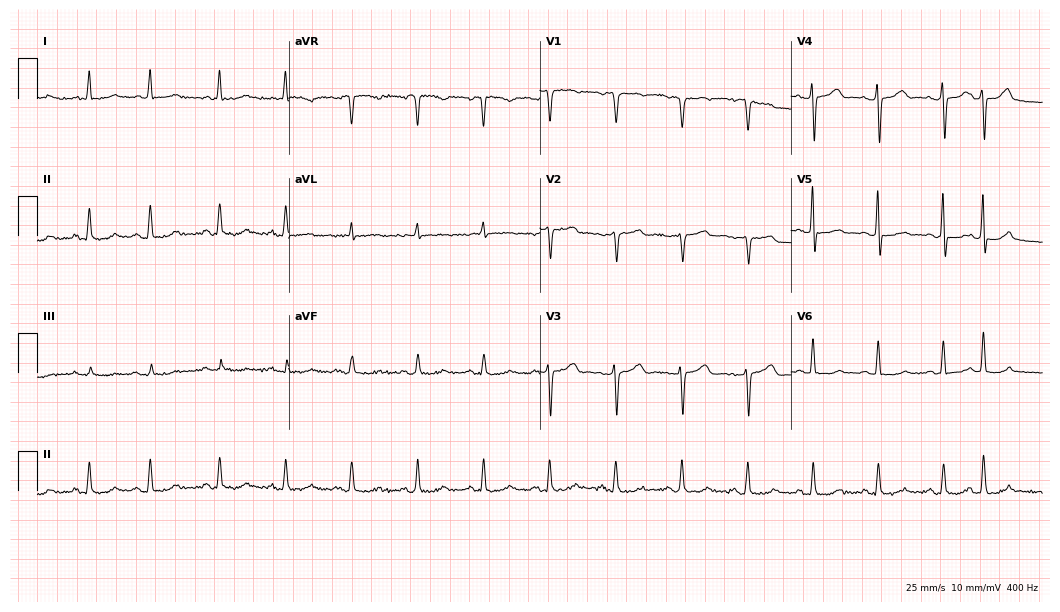
ECG — a woman, 64 years old. Screened for six findings — first-degree AV block, right bundle branch block, left bundle branch block, sinus bradycardia, atrial fibrillation, sinus tachycardia — none is recorded. Other findings, if any, are not listed.